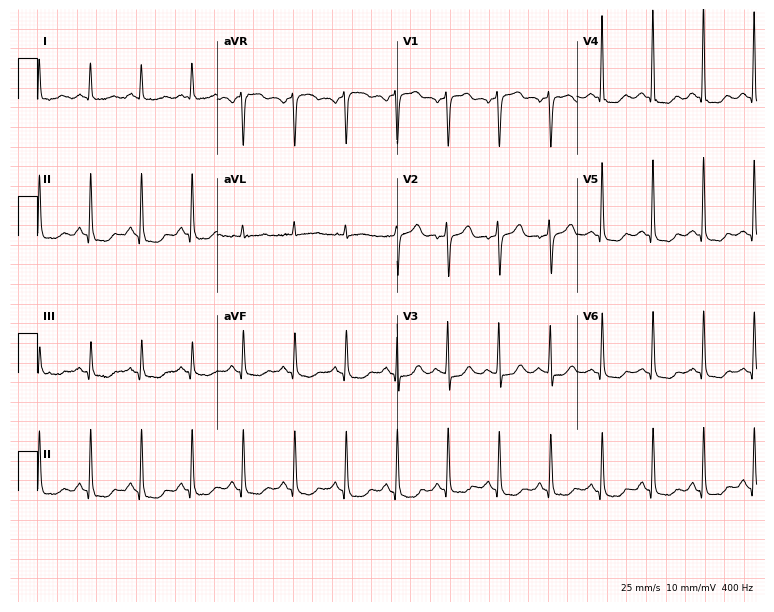
ECG (7.3-second recording at 400 Hz) — a 69-year-old female patient. Findings include sinus tachycardia (a sinus rate of 100 beats per minute or more).